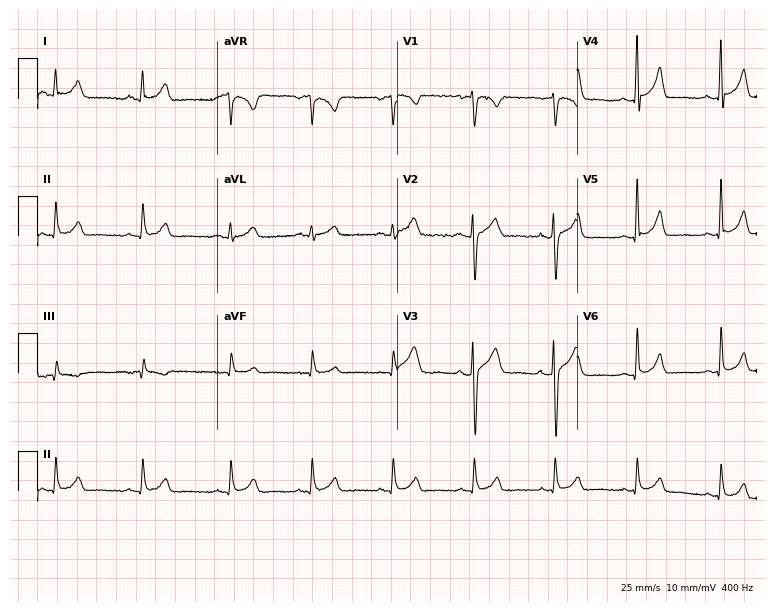
12-lead ECG from a 35-year-old man (7.3-second recording at 400 Hz). No first-degree AV block, right bundle branch block, left bundle branch block, sinus bradycardia, atrial fibrillation or sinus tachycardia recorded for this tracing.